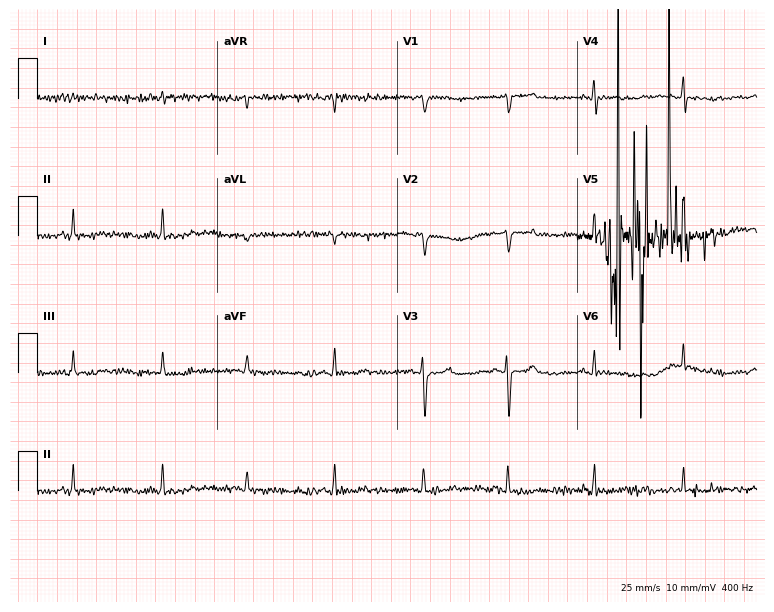
12-lead ECG from a female patient, 87 years old. No first-degree AV block, right bundle branch block (RBBB), left bundle branch block (LBBB), sinus bradycardia, atrial fibrillation (AF) or sinus tachycardia recorded for this tracing. Findings outside these six are not listed.